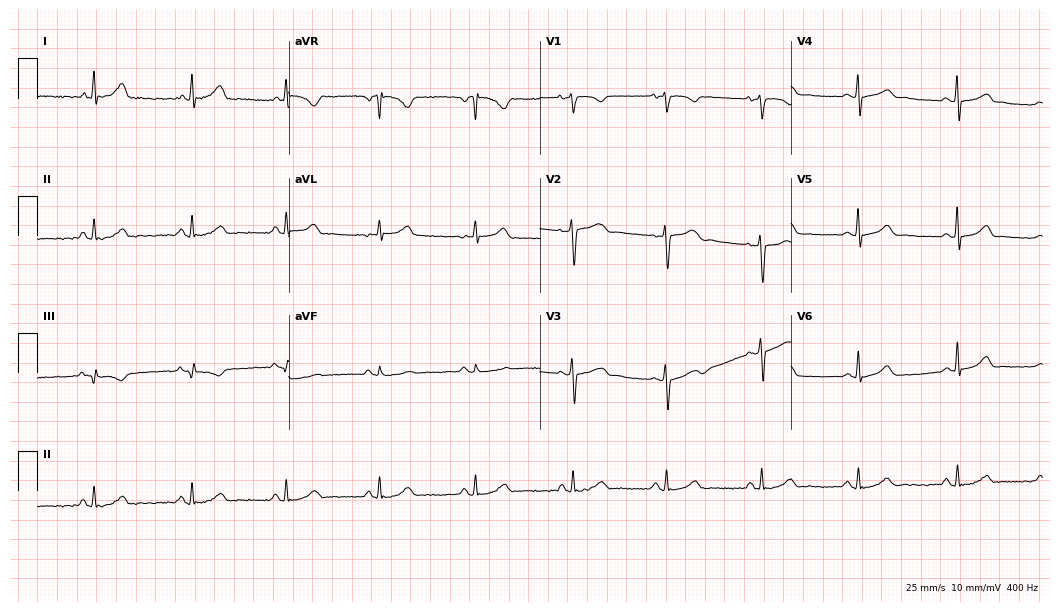
Standard 12-lead ECG recorded from a female patient, 38 years old. Read as a normal ECG.